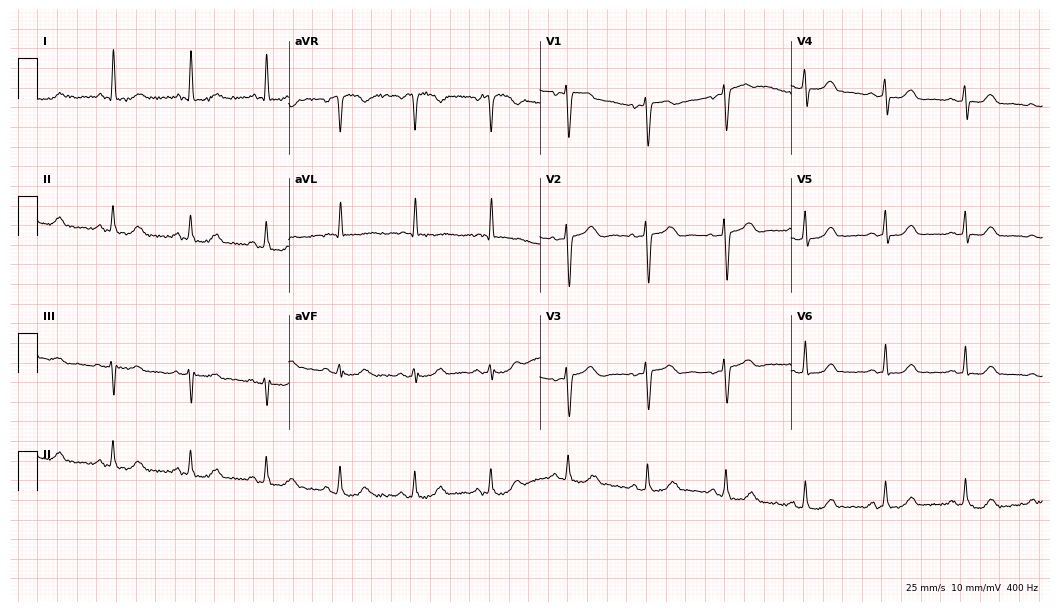
Standard 12-lead ECG recorded from a 51-year-old female patient. Read as a normal ECG.